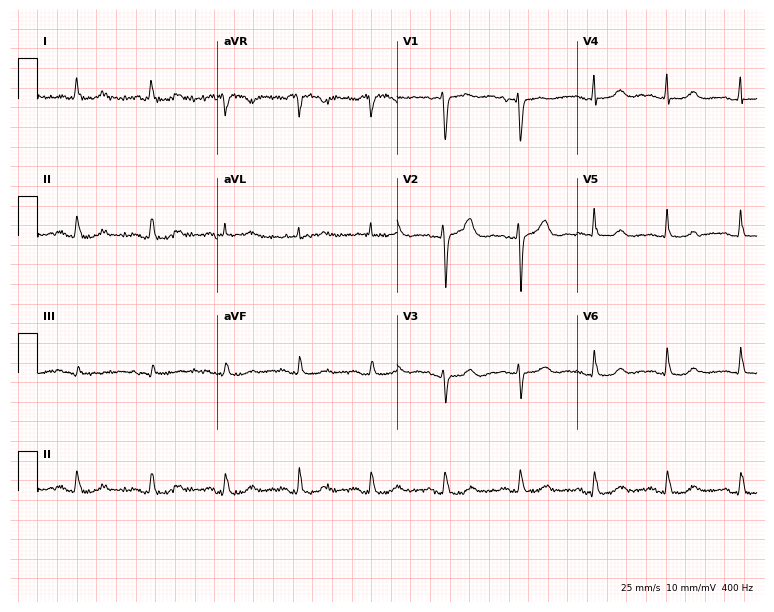
12-lead ECG (7.3-second recording at 400 Hz) from a woman, 65 years old. Labelled as a normal ECG.